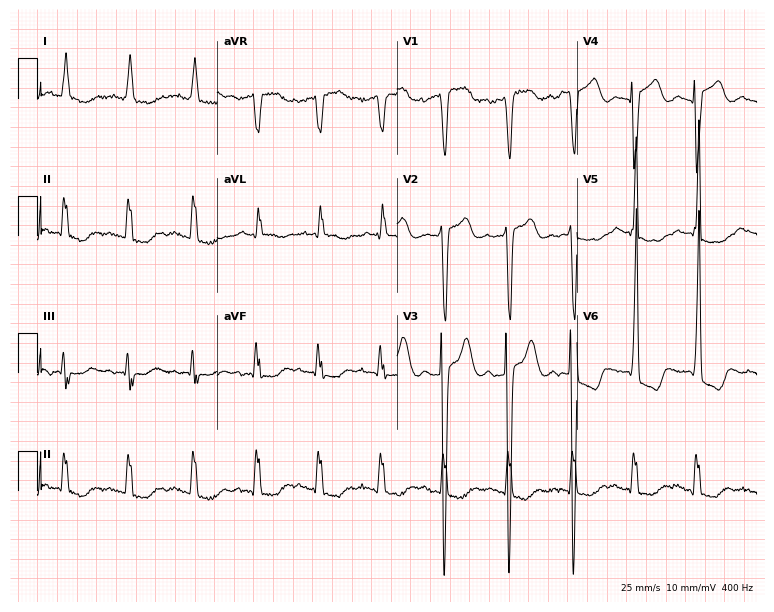
ECG — a man, 83 years old. Screened for six findings — first-degree AV block, right bundle branch block (RBBB), left bundle branch block (LBBB), sinus bradycardia, atrial fibrillation (AF), sinus tachycardia — none is recorded.